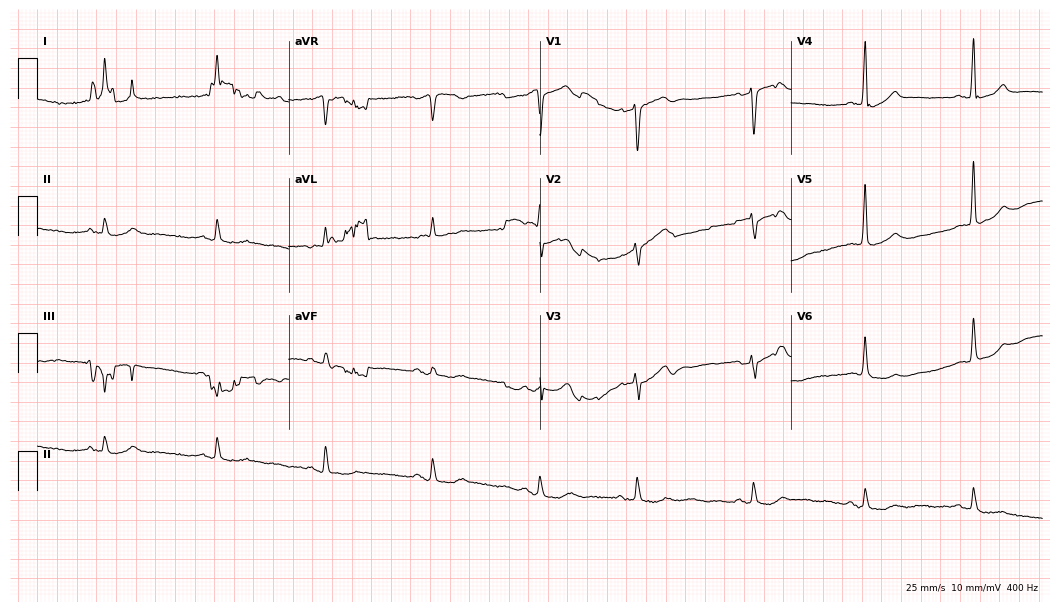
12-lead ECG (10.2-second recording at 400 Hz) from an 85-year-old man. Screened for six findings — first-degree AV block, right bundle branch block, left bundle branch block, sinus bradycardia, atrial fibrillation, sinus tachycardia — none is recorded.